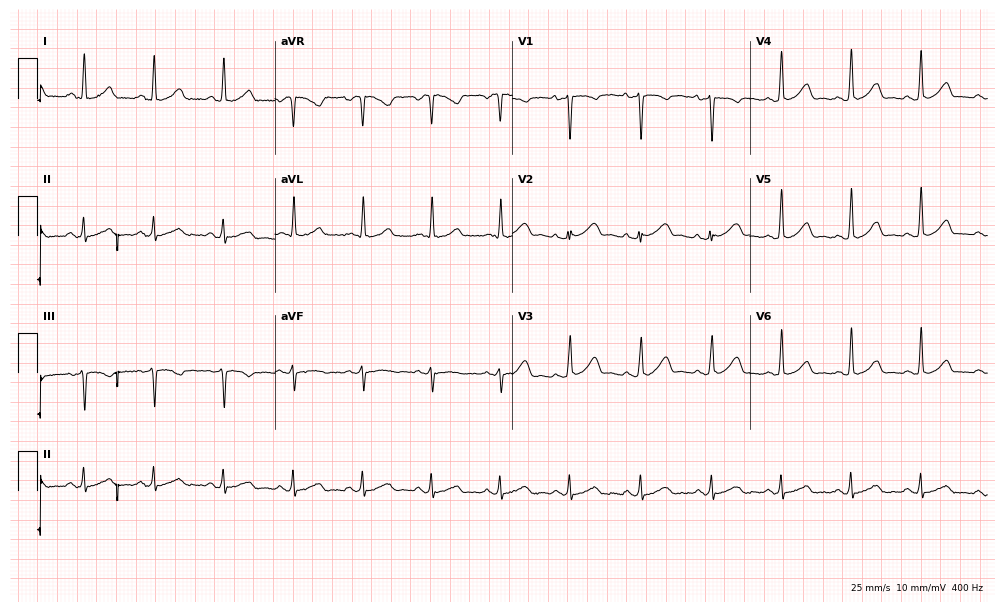
12-lead ECG from a 36-year-old woman. Labelled as a normal ECG.